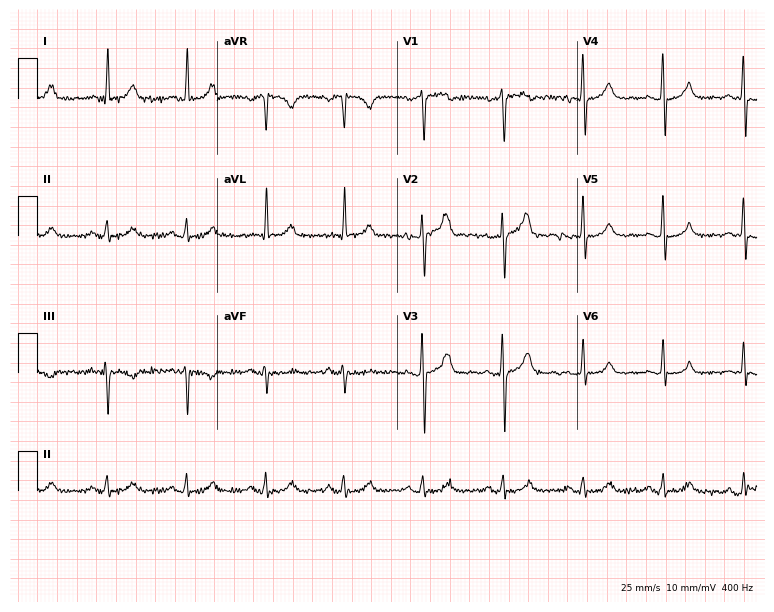
ECG (7.3-second recording at 400 Hz) — a 49-year-old man. Labelled as a normal ECG.